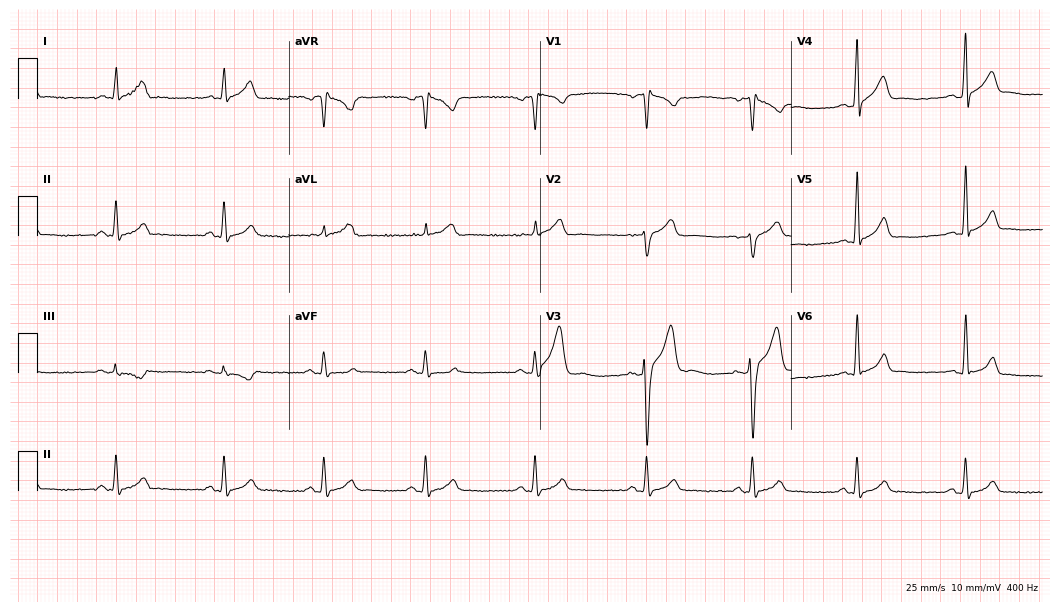
12-lead ECG from a 23-year-old male patient. Recorded interpretation: within normal limits.